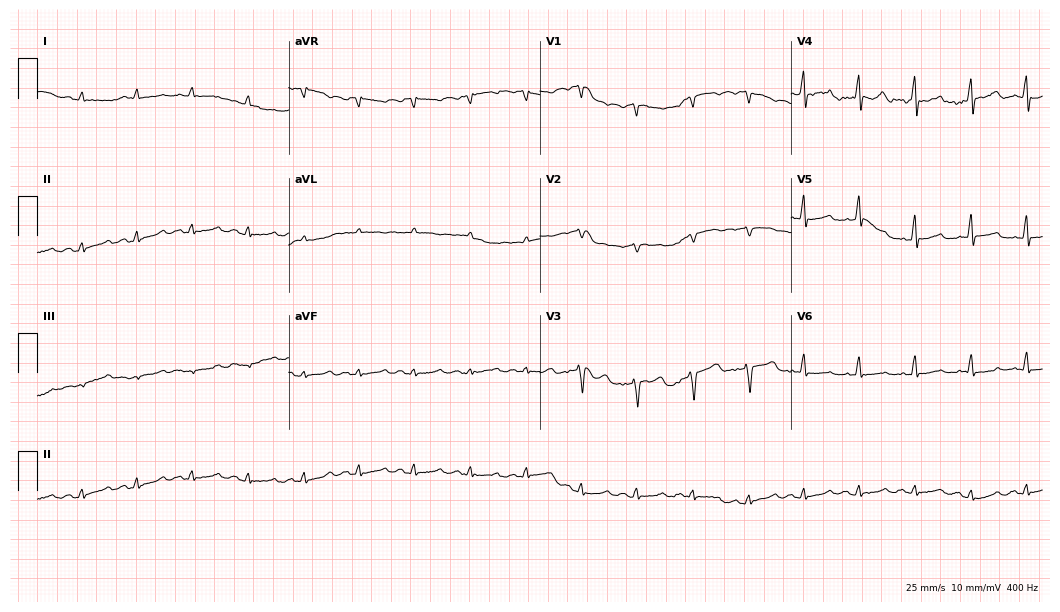
Resting 12-lead electrocardiogram. Patient: a 43-year-old male. None of these six findings is recorded: first-degree AV block, right bundle branch block (RBBB), left bundle branch block (LBBB), sinus bradycardia, atrial fibrillation (AF), sinus tachycardia.